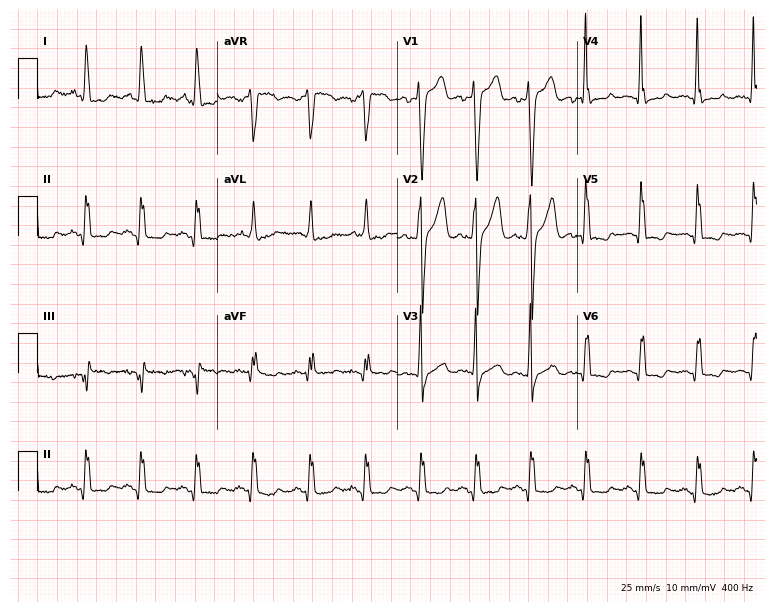
12-lead ECG (7.3-second recording at 400 Hz) from a male patient, 44 years old. Findings include sinus tachycardia (a sinus rate of 100 beats per minute or more).